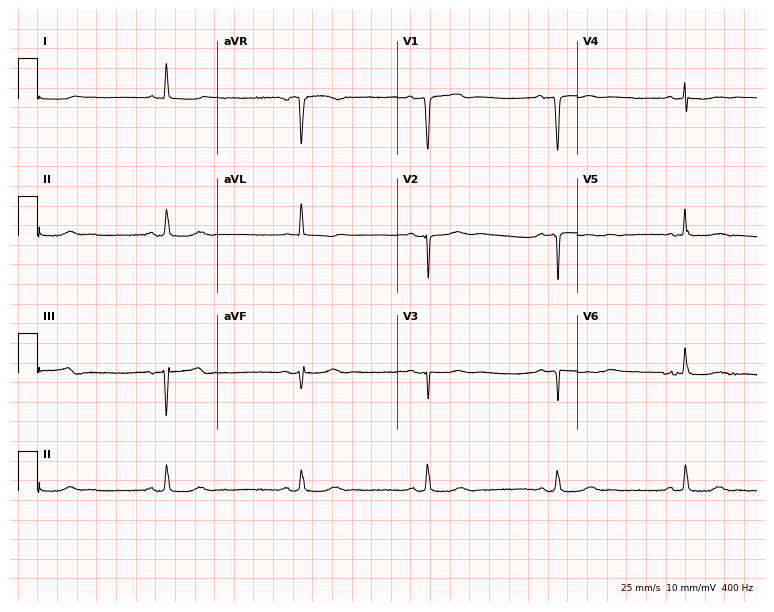
Electrocardiogram, an 81-year-old female. Interpretation includes sinus bradycardia (a sinus rate of 50 beats per minute or less).